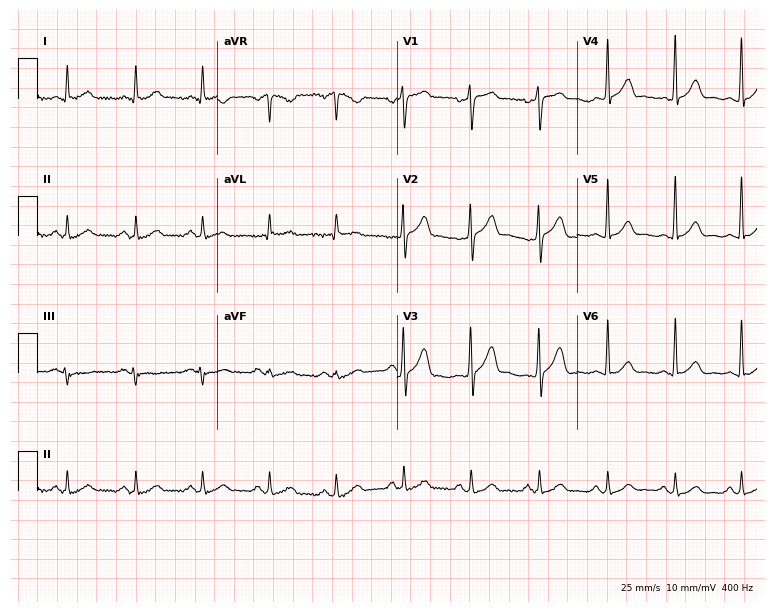
Resting 12-lead electrocardiogram (7.3-second recording at 400 Hz). Patient: a 39-year-old male. Read as a normal ECG.